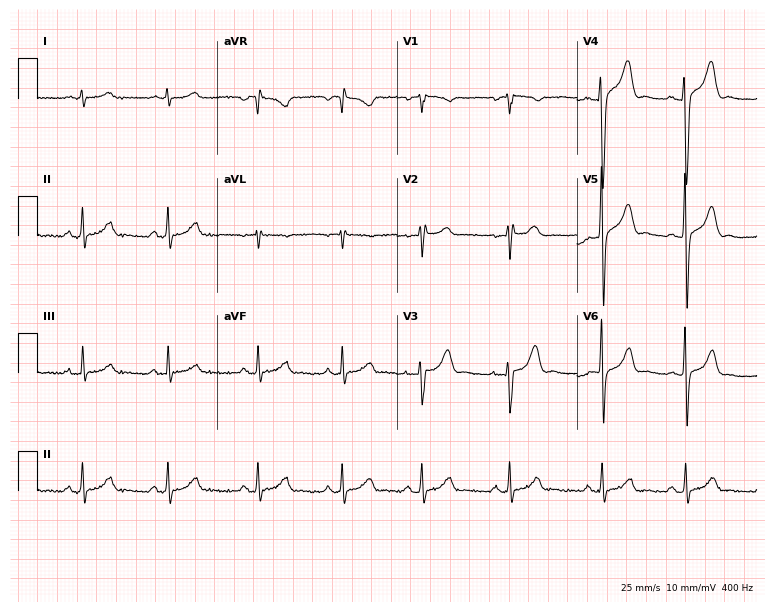
12-lead ECG (7.3-second recording at 400 Hz) from a 33-year-old man. Screened for six findings — first-degree AV block, right bundle branch block (RBBB), left bundle branch block (LBBB), sinus bradycardia, atrial fibrillation (AF), sinus tachycardia — none is recorded. Findings outside these six are not listed.